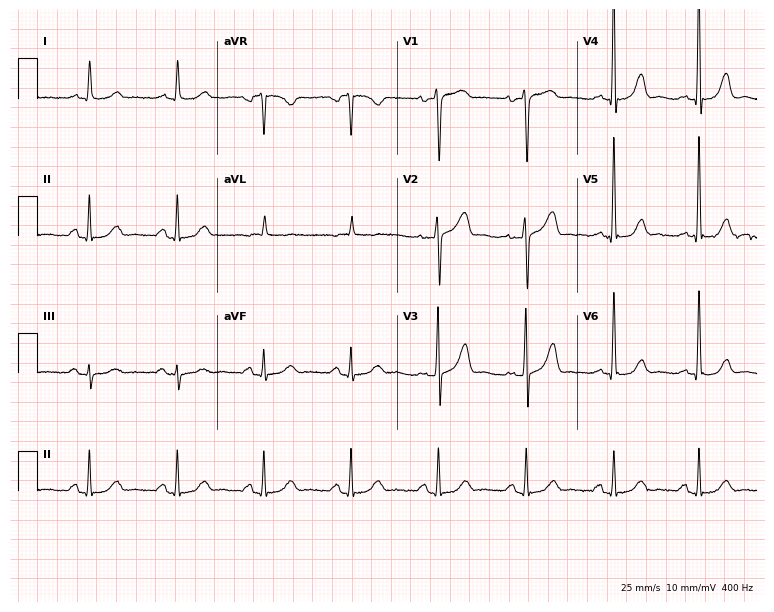
Electrocardiogram, a female patient, 77 years old. Overall reading on record: normal ECG.